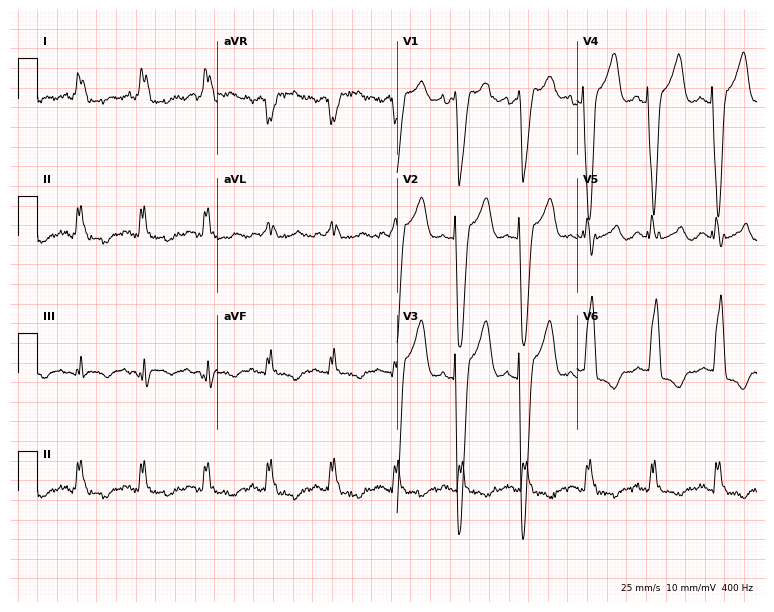
Standard 12-lead ECG recorded from a woman, 70 years old. The tracing shows left bundle branch block.